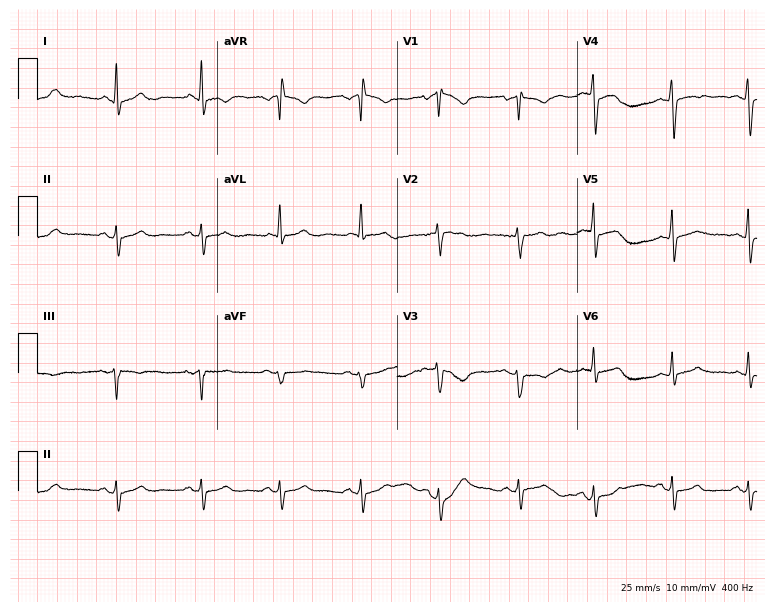
Resting 12-lead electrocardiogram. Patient: a 37-year-old female. None of these six findings is recorded: first-degree AV block, right bundle branch block (RBBB), left bundle branch block (LBBB), sinus bradycardia, atrial fibrillation (AF), sinus tachycardia.